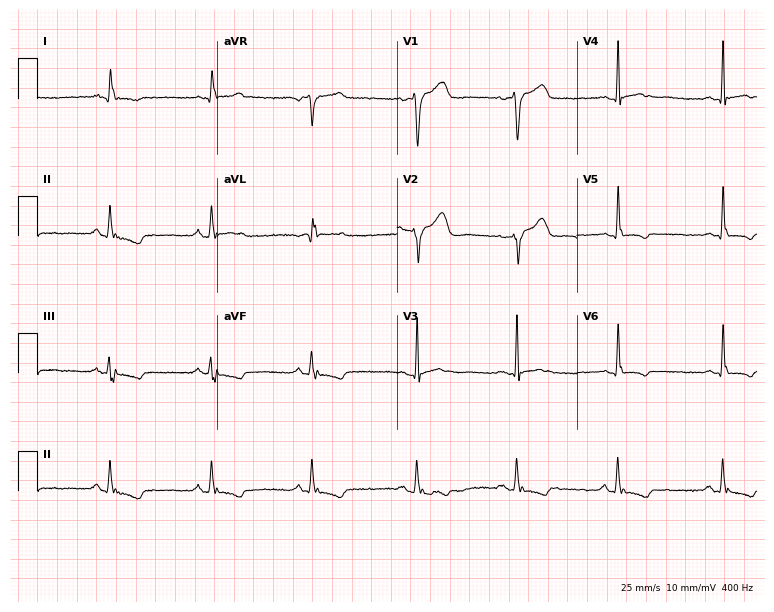
ECG — a man, 58 years old. Screened for six findings — first-degree AV block, right bundle branch block, left bundle branch block, sinus bradycardia, atrial fibrillation, sinus tachycardia — none is recorded.